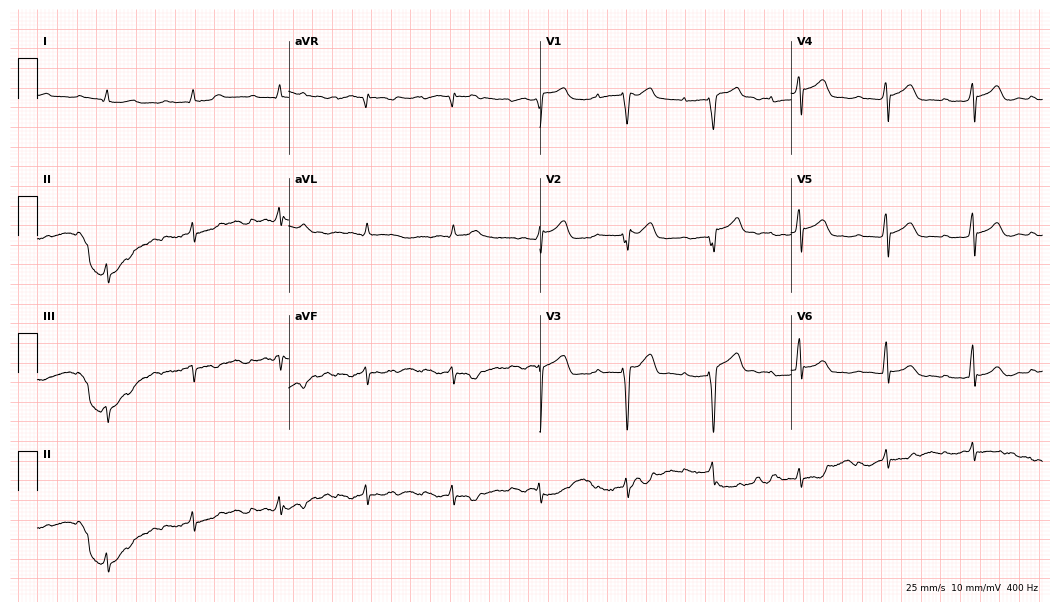
ECG — a 47-year-old male. Screened for six findings — first-degree AV block, right bundle branch block, left bundle branch block, sinus bradycardia, atrial fibrillation, sinus tachycardia — none is recorded.